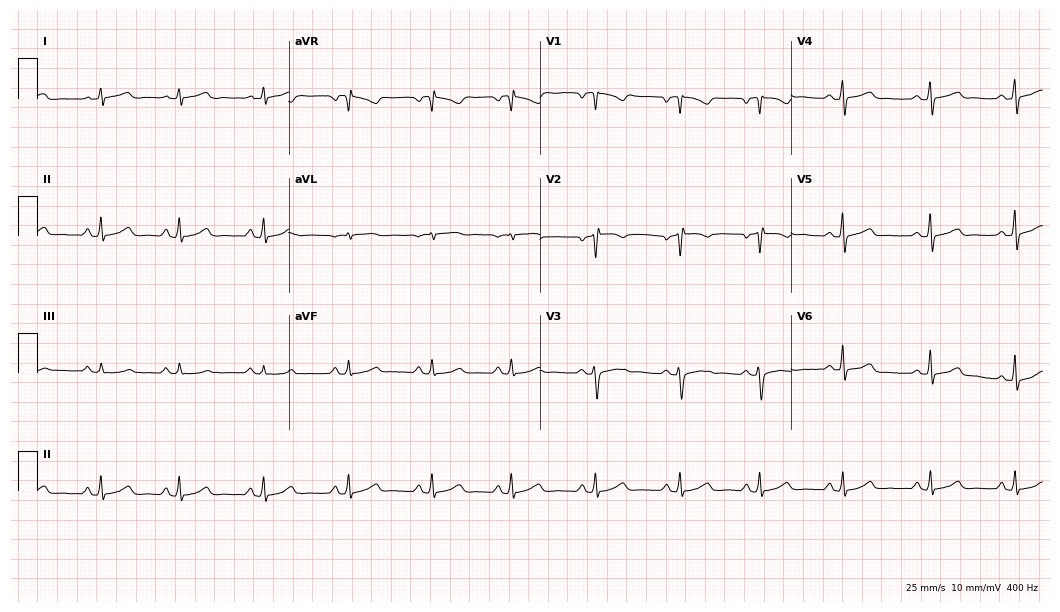
Resting 12-lead electrocardiogram (10.2-second recording at 400 Hz). Patient: a female, 36 years old. None of these six findings is recorded: first-degree AV block, right bundle branch block, left bundle branch block, sinus bradycardia, atrial fibrillation, sinus tachycardia. Only these six findings were labelled.